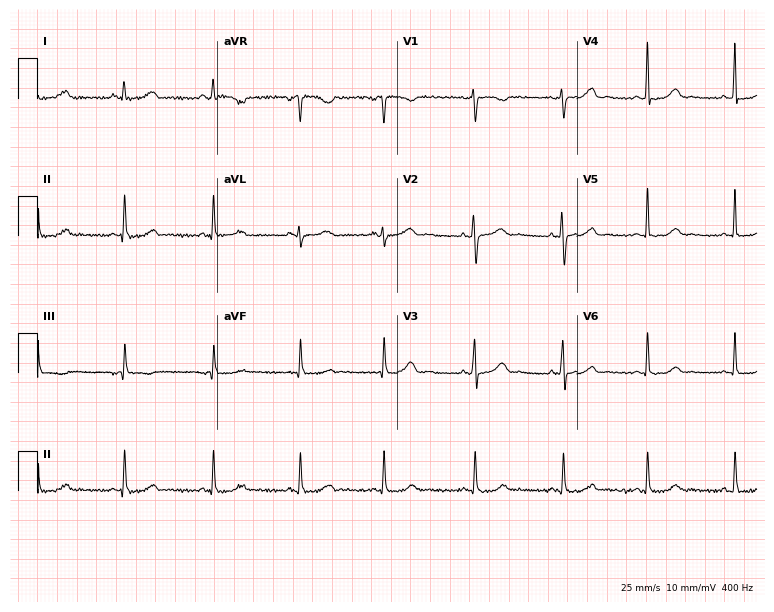
ECG — a 41-year-old female patient. Labelled as a normal ECG.